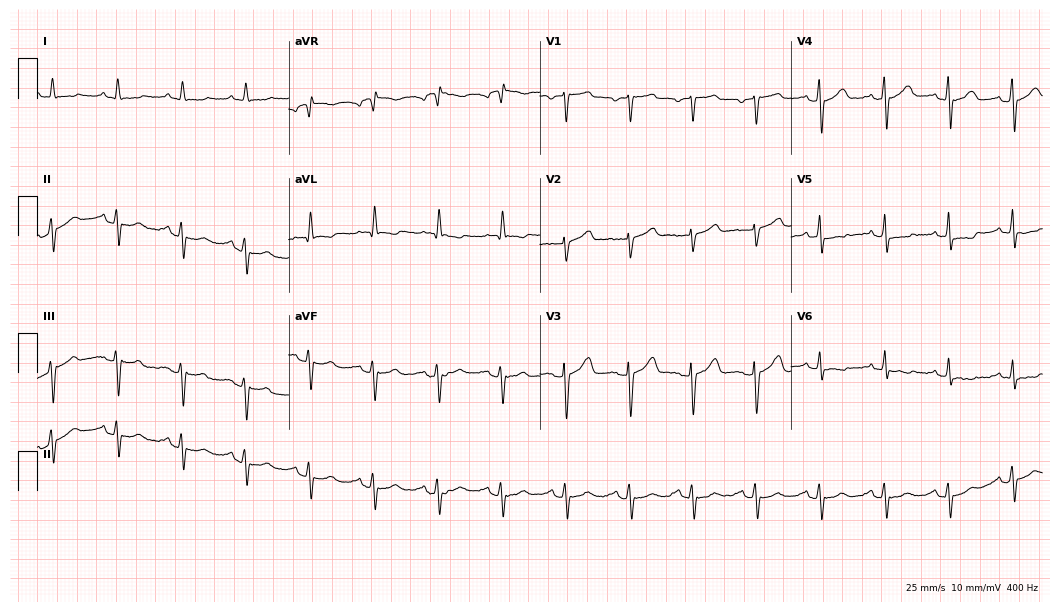
12-lead ECG from a man, 84 years old (10.2-second recording at 400 Hz). No first-degree AV block, right bundle branch block, left bundle branch block, sinus bradycardia, atrial fibrillation or sinus tachycardia recorded for this tracing. Only these six findings were labelled.